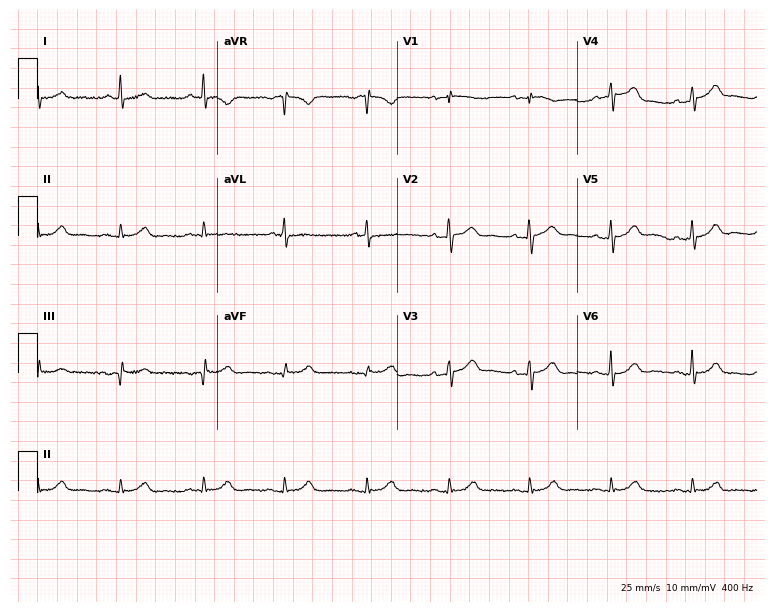
Electrocardiogram (7.3-second recording at 400 Hz), a male, 84 years old. Of the six screened findings (first-degree AV block, right bundle branch block, left bundle branch block, sinus bradycardia, atrial fibrillation, sinus tachycardia), none is recorded.